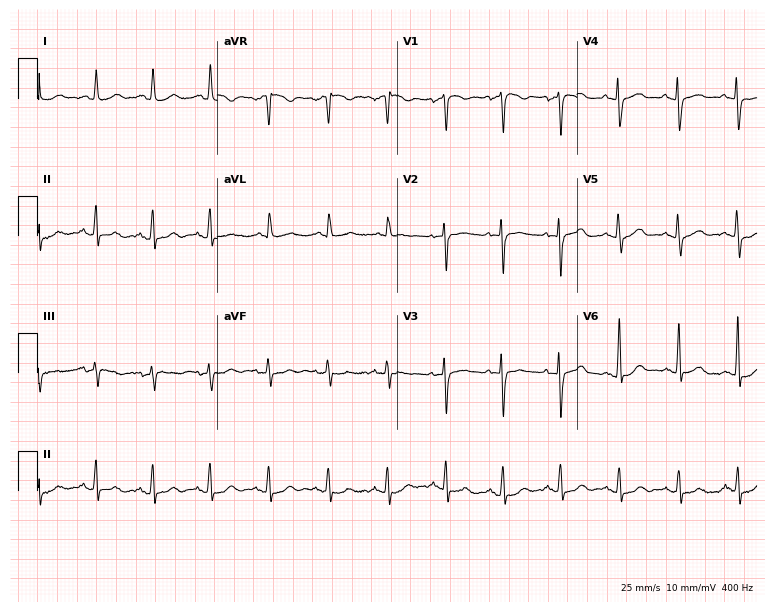
12-lead ECG from an 80-year-old female patient. No first-degree AV block, right bundle branch block (RBBB), left bundle branch block (LBBB), sinus bradycardia, atrial fibrillation (AF) or sinus tachycardia recorded for this tracing.